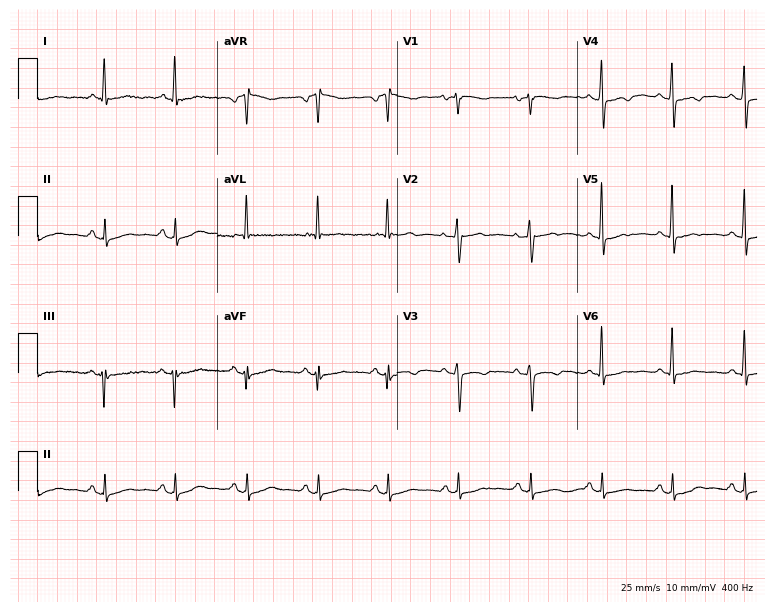
Standard 12-lead ECG recorded from a 67-year-old woman. None of these six findings is recorded: first-degree AV block, right bundle branch block, left bundle branch block, sinus bradycardia, atrial fibrillation, sinus tachycardia. Other findings, if any, are not listed.